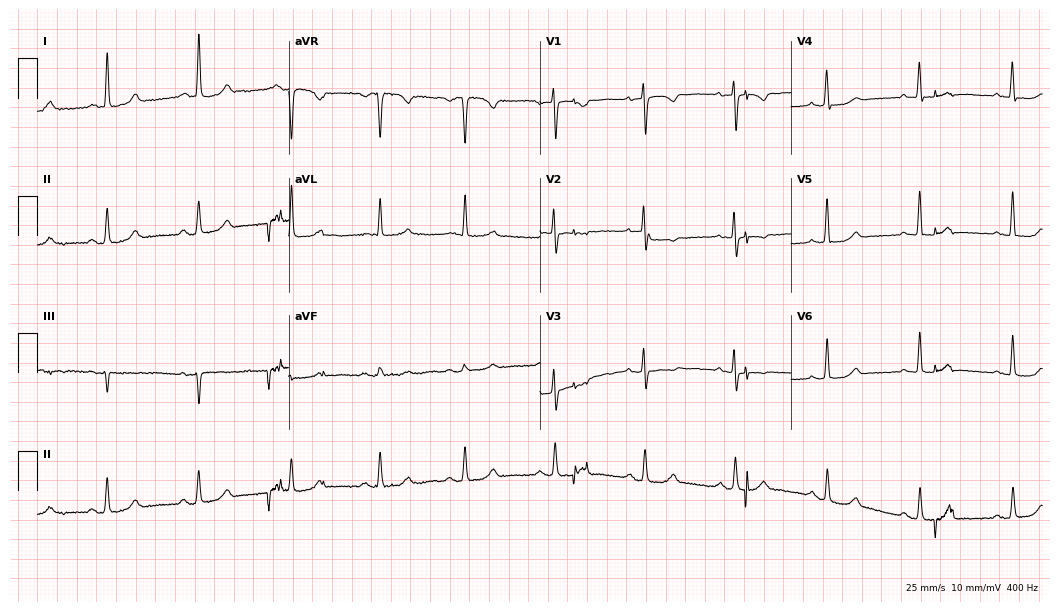
12-lead ECG from a female patient, 67 years old. Labelled as a normal ECG.